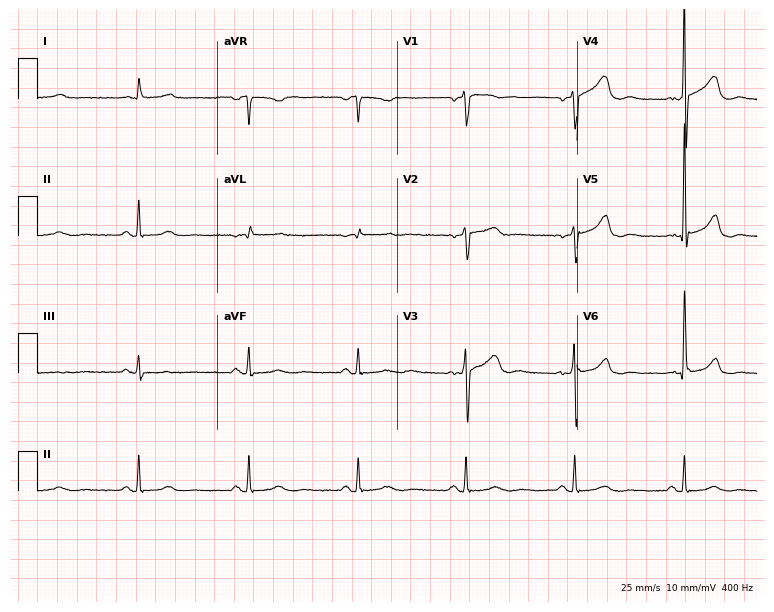
12-lead ECG (7.3-second recording at 400 Hz) from a man, 70 years old. Labelled as a normal ECG.